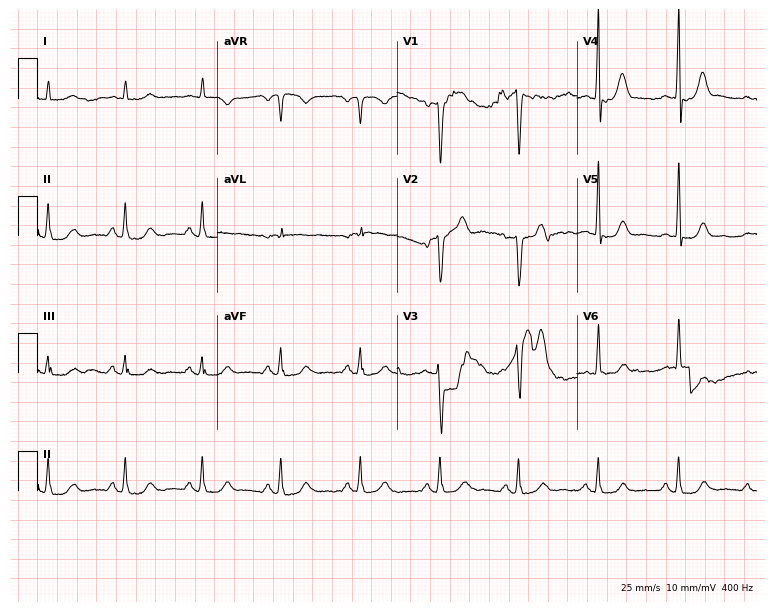
Resting 12-lead electrocardiogram. Patient: a man, 53 years old. None of these six findings is recorded: first-degree AV block, right bundle branch block, left bundle branch block, sinus bradycardia, atrial fibrillation, sinus tachycardia.